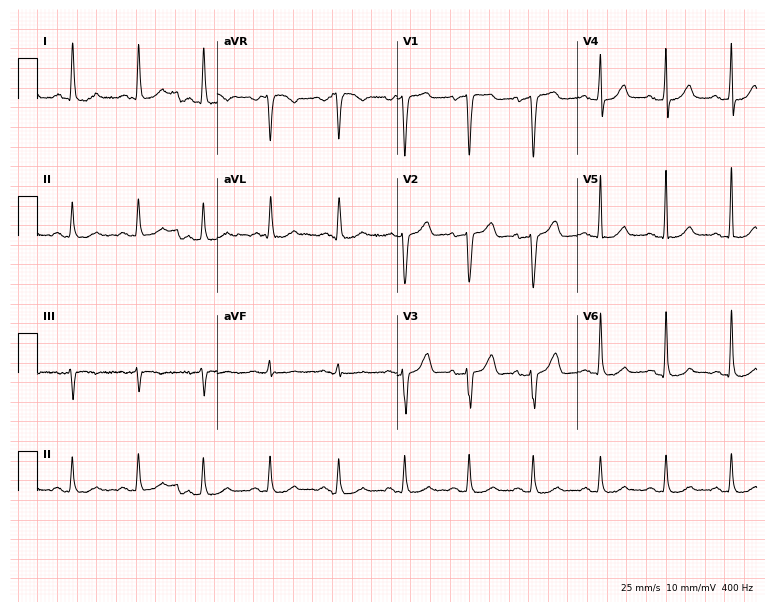
Resting 12-lead electrocardiogram. Patient: a female, 53 years old. Read as a normal ECG.